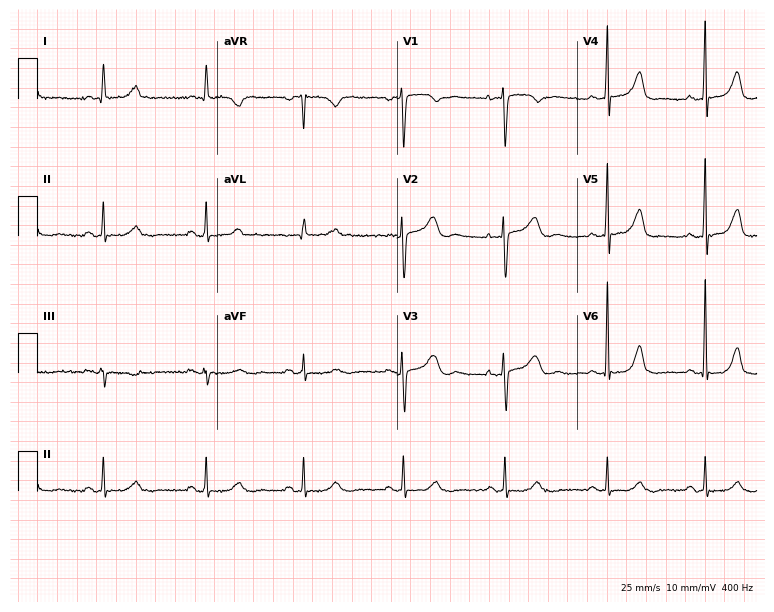
Electrocardiogram (7.3-second recording at 400 Hz), a 41-year-old female. Overall reading on record: normal ECG.